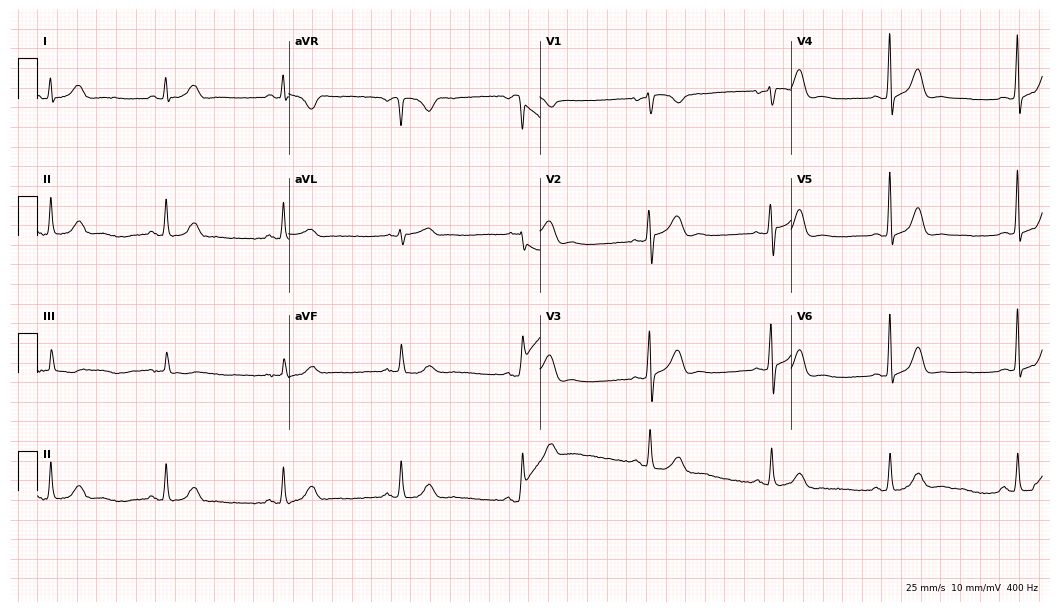
12-lead ECG (10.2-second recording at 400 Hz) from a 55-year-old female patient. Findings include sinus bradycardia (a sinus rate of 50 beats per minute or less).